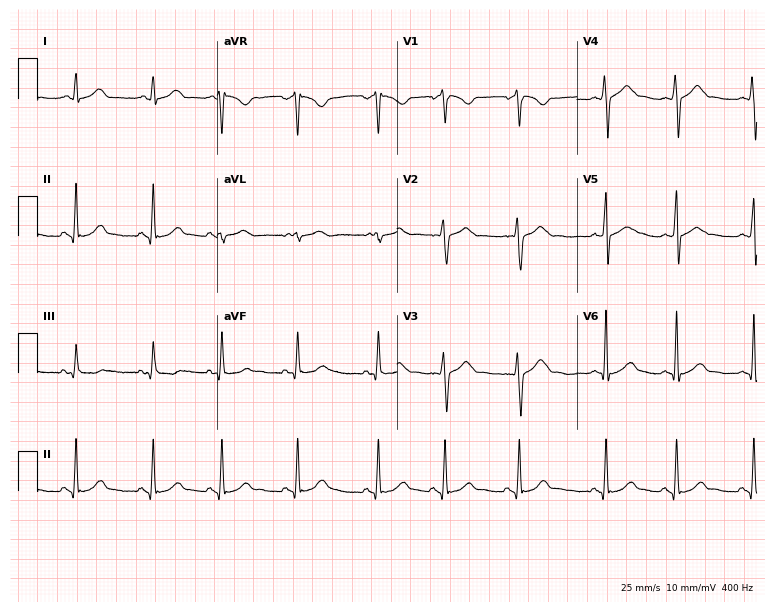
12-lead ECG from a 17-year-old woman. Labelled as a normal ECG.